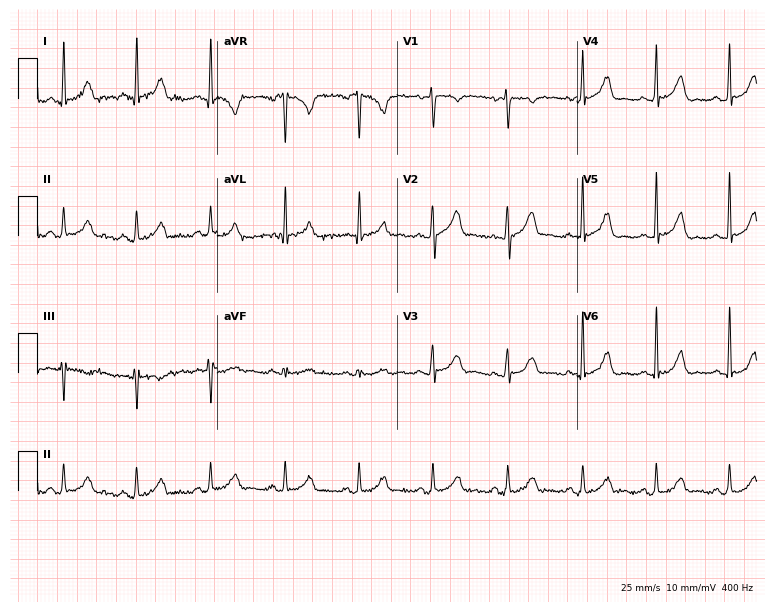
Standard 12-lead ECG recorded from a female, 49 years old (7.3-second recording at 400 Hz). None of these six findings is recorded: first-degree AV block, right bundle branch block, left bundle branch block, sinus bradycardia, atrial fibrillation, sinus tachycardia. Other findings, if any, are not listed.